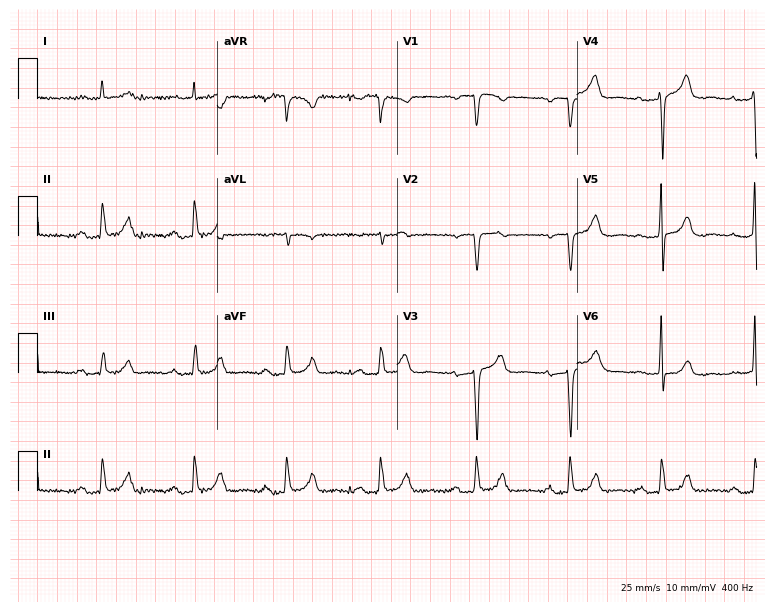
Electrocardiogram, a female patient, 69 years old. Interpretation includes first-degree AV block.